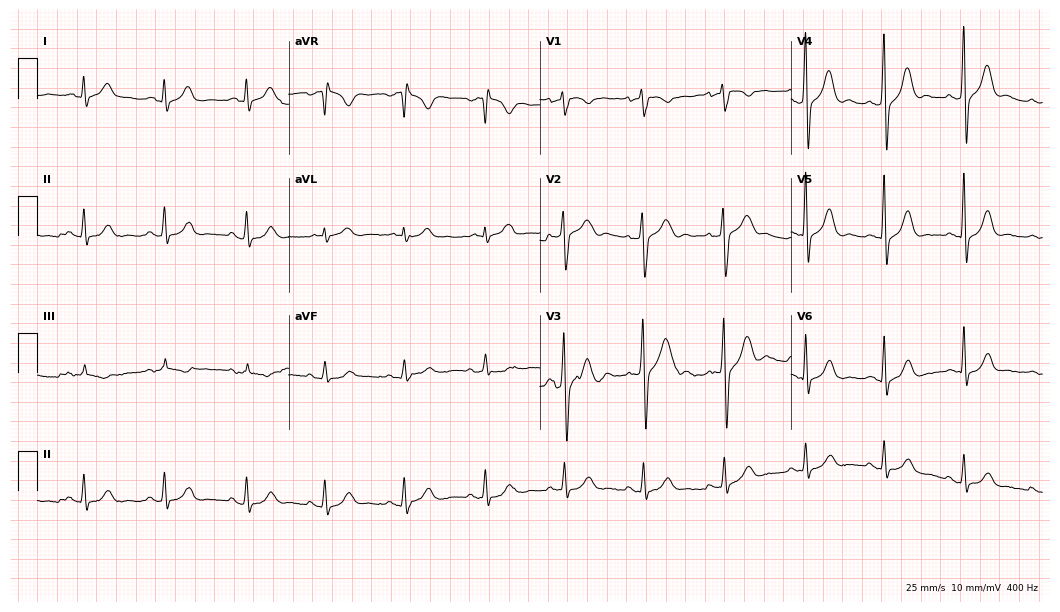
Electrocardiogram, a male, 50 years old. Overall reading on record: normal ECG.